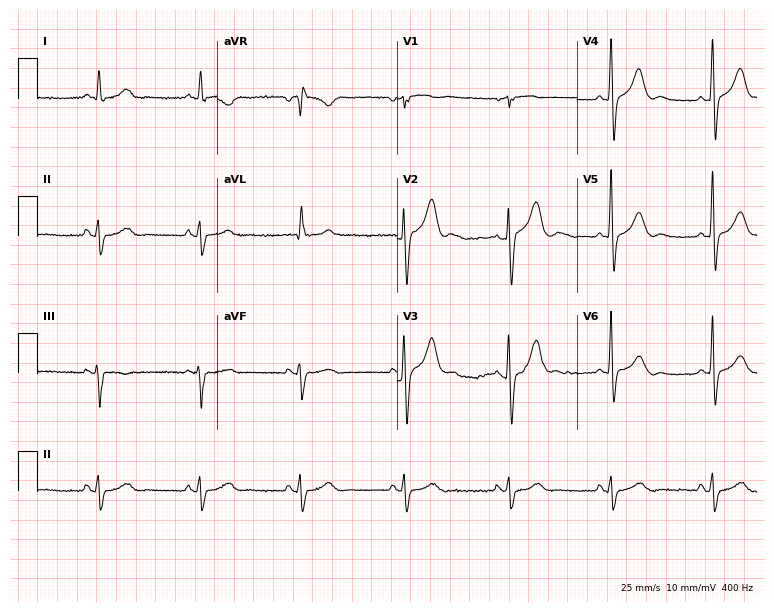
Electrocardiogram, a 69-year-old male. Overall reading on record: normal ECG.